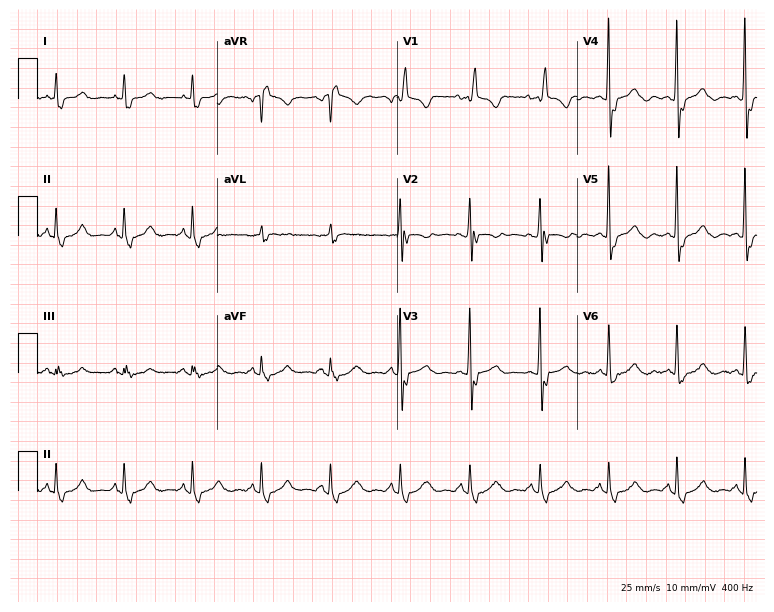
Electrocardiogram, a female patient, 33 years old. Of the six screened findings (first-degree AV block, right bundle branch block, left bundle branch block, sinus bradycardia, atrial fibrillation, sinus tachycardia), none is recorded.